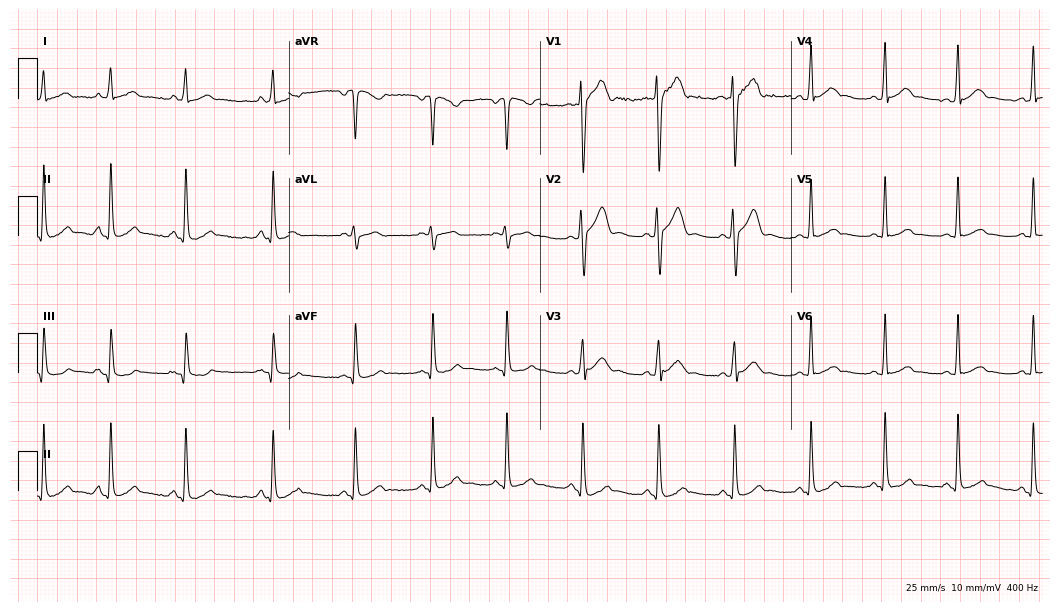
12-lead ECG (10.2-second recording at 400 Hz) from a 24-year-old male patient. Labelled as a normal ECG.